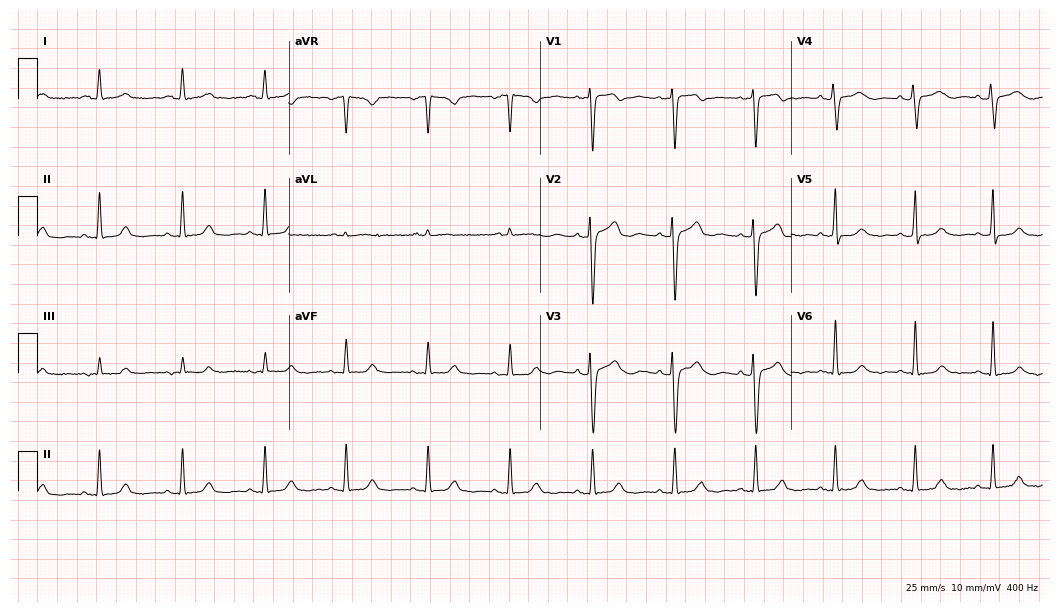
Standard 12-lead ECG recorded from a woman, 54 years old. None of these six findings is recorded: first-degree AV block, right bundle branch block, left bundle branch block, sinus bradycardia, atrial fibrillation, sinus tachycardia. Only these six findings were labelled.